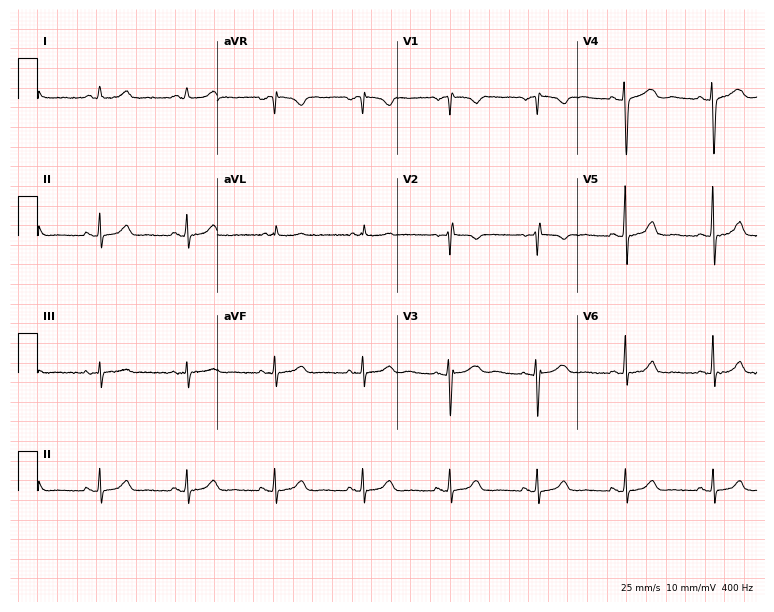
ECG (7.3-second recording at 400 Hz) — a 58-year-old woman. Screened for six findings — first-degree AV block, right bundle branch block, left bundle branch block, sinus bradycardia, atrial fibrillation, sinus tachycardia — none is recorded. Only these six findings were labelled.